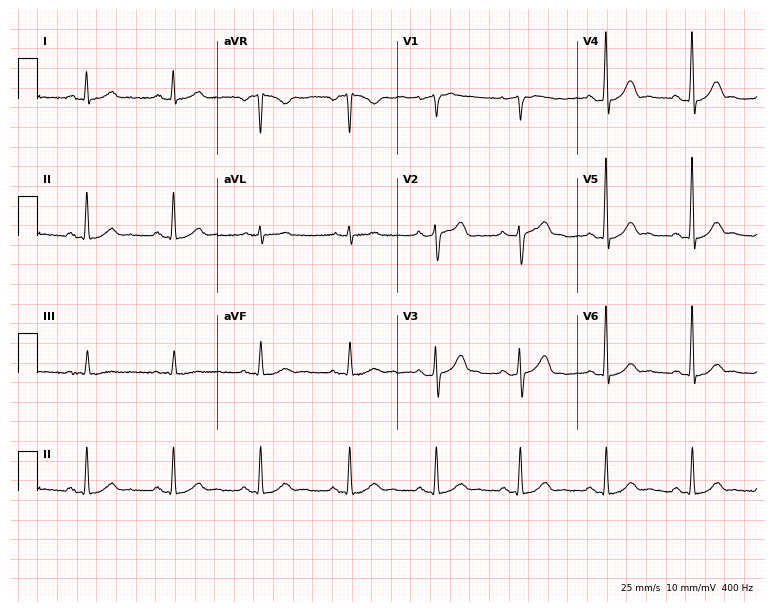
Electrocardiogram (7.3-second recording at 400 Hz), a man, 54 years old. Overall reading on record: normal ECG.